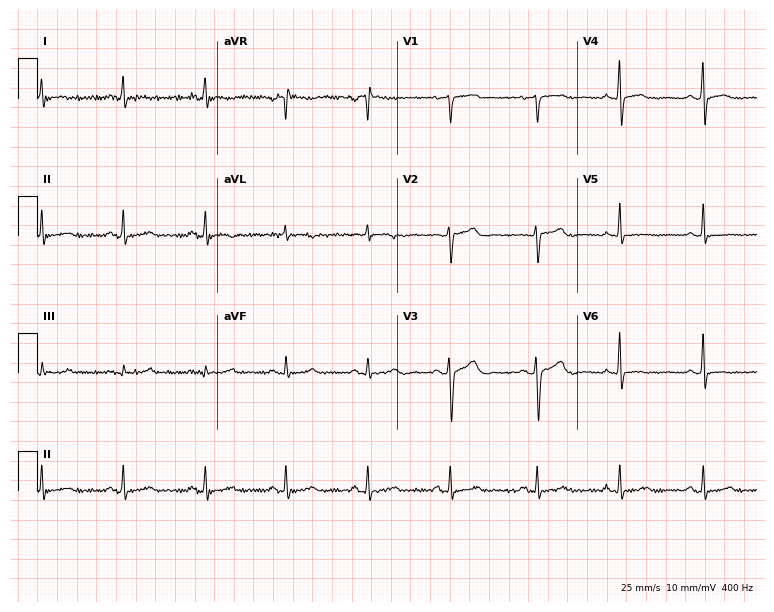
12-lead ECG (7.3-second recording at 400 Hz) from a female patient, 39 years old. Screened for six findings — first-degree AV block, right bundle branch block, left bundle branch block, sinus bradycardia, atrial fibrillation, sinus tachycardia — none is recorded.